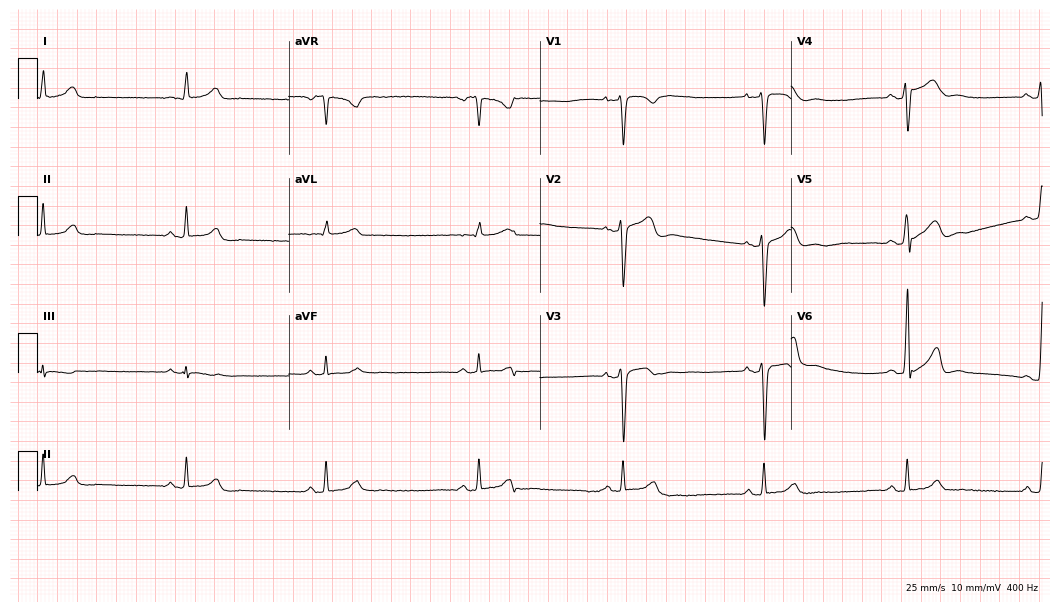
Resting 12-lead electrocardiogram. Patient: a 40-year-old man. The tracing shows sinus bradycardia (a sinus rate of 50 beats per minute or less).